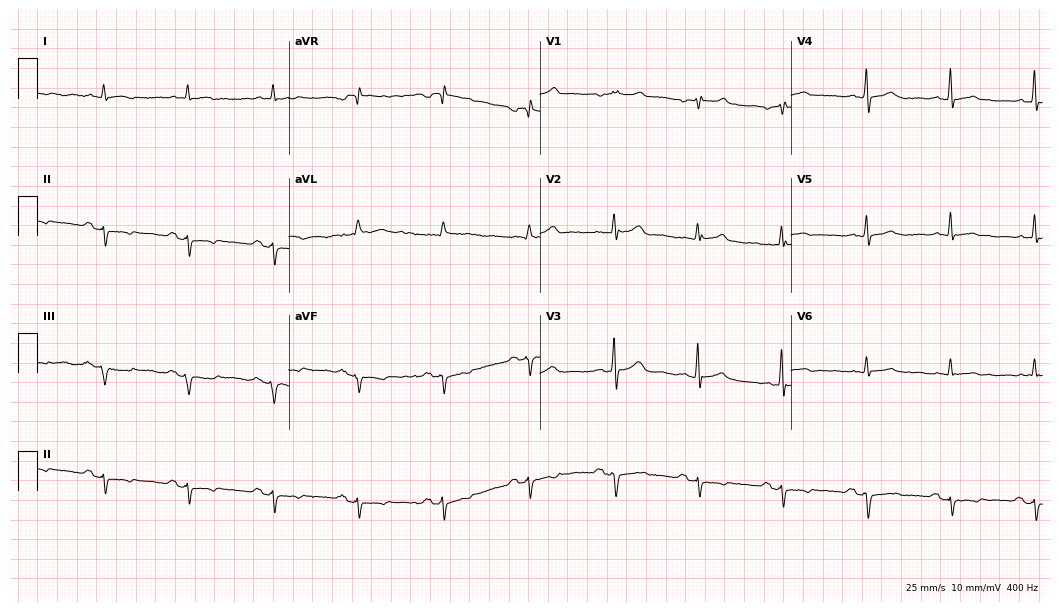
ECG — a 69-year-old man. Screened for six findings — first-degree AV block, right bundle branch block (RBBB), left bundle branch block (LBBB), sinus bradycardia, atrial fibrillation (AF), sinus tachycardia — none is recorded. Only these six findings were labelled.